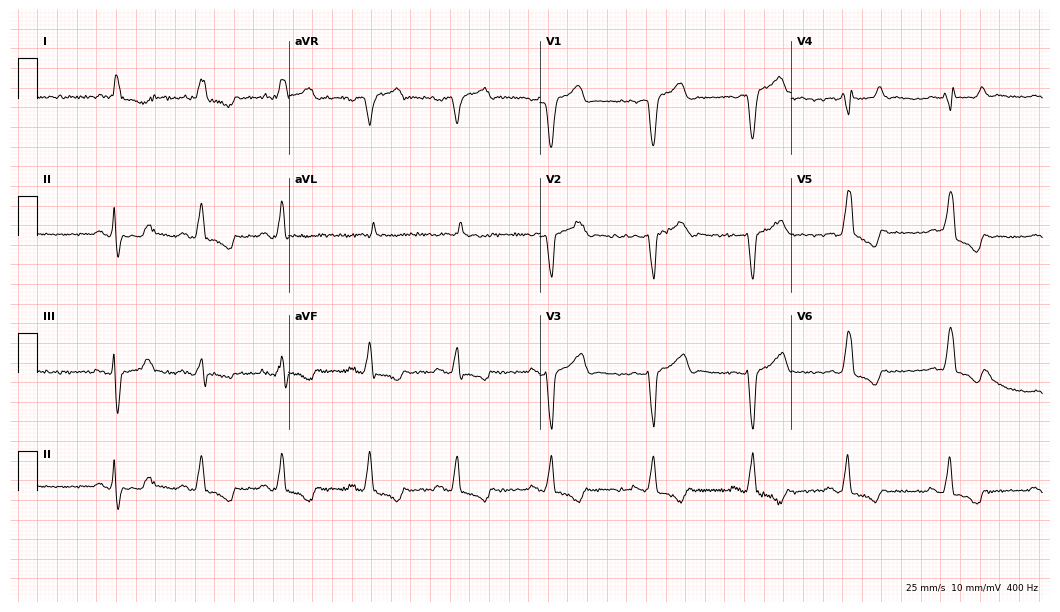
Standard 12-lead ECG recorded from a male patient, 66 years old (10.2-second recording at 400 Hz). The tracing shows left bundle branch block.